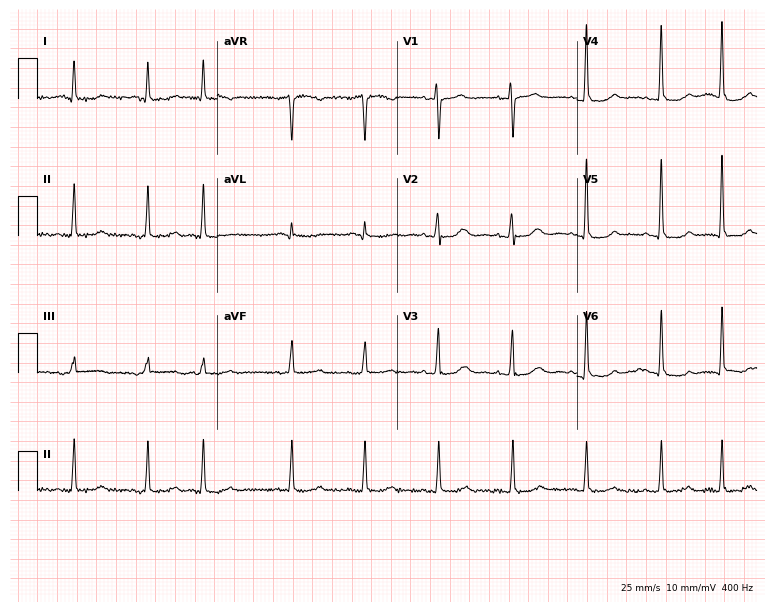
ECG (7.3-second recording at 400 Hz) — a woman, 80 years old. Screened for six findings — first-degree AV block, right bundle branch block, left bundle branch block, sinus bradycardia, atrial fibrillation, sinus tachycardia — none is recorded. Only these six findings were labelled.